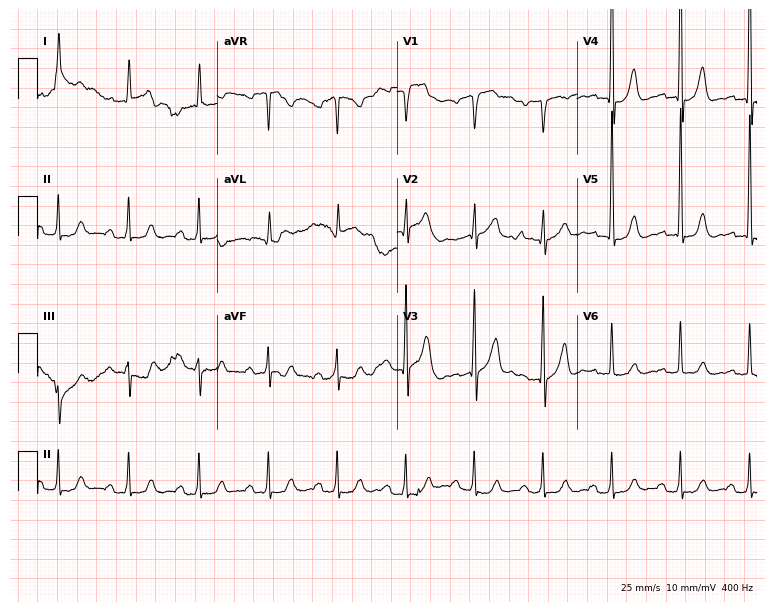
Standard 12-lead ECG recorded from a male patient, 67 years old (7.3-second recording at 400 Hz). None of these six findings is recorded: first-degree AV block, right bundle branch block, left bundle branch block, sinus bradycardia, atrial fibrillation, sinus tachycardia. Other findings, if any, are not listed.